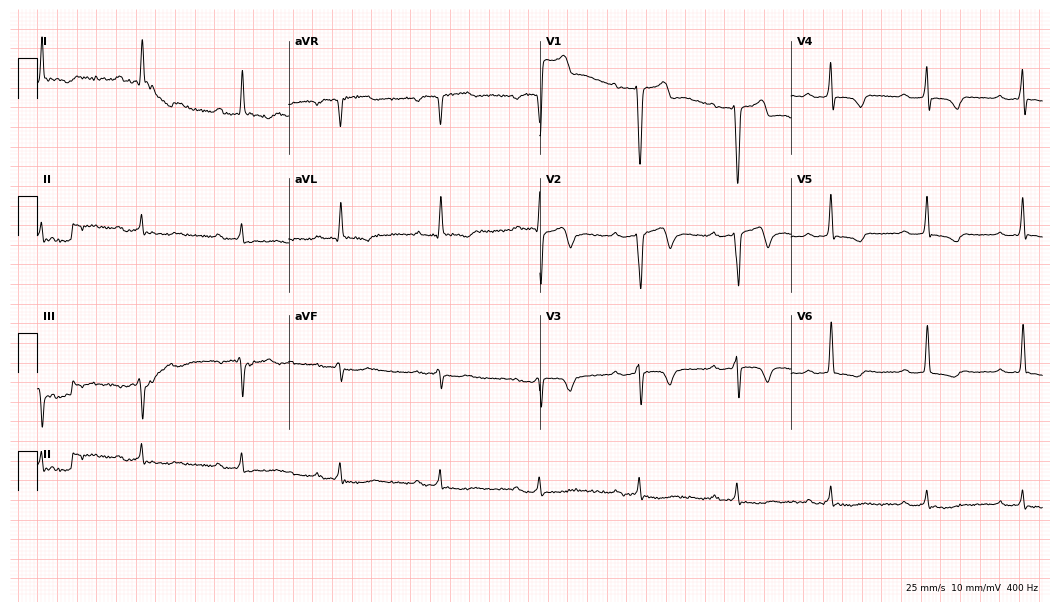
Resting 12-lead electrocardiogram. Patient: a male, 59 years old. None of these six findings is recorded: first-degree AV block, right bundle branch block, left bundle branch block, sinus bradycardia, atrial fibrillation, sinus tachycardia. Only these six findings were labelled.